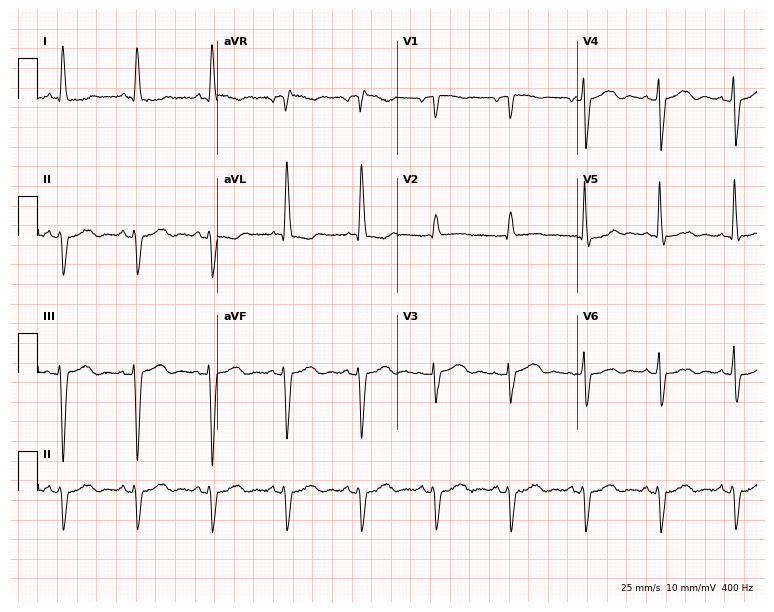
Resting 12-lead electrocardiogram (7.3-second recording at 400 Hz). Patient: a female, 83 years old. None of these six findings is recorded: first-degree AV block, right bundle branch block, left bundle branch block, sinus bradycardia, atrial fibrillation, sinus tachycardia.